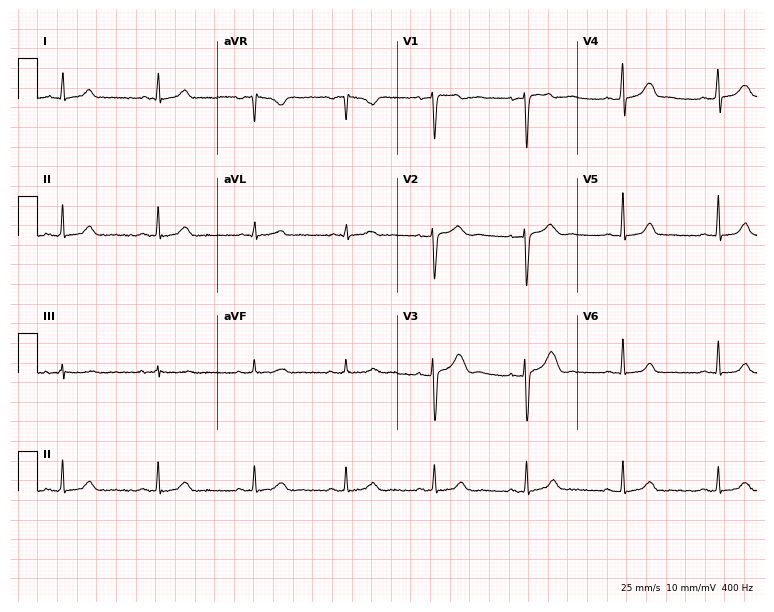
ECG (7.3-second recording at 400 Hz) — a female, 39 years old. Labelled as a normal ECG.